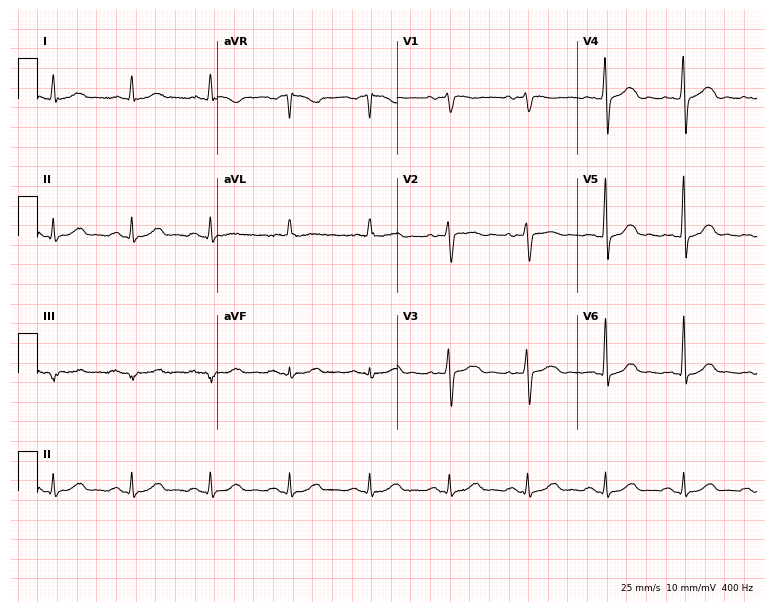
Electrocardiogram, a 51-year-old male patient. Of the six screened findings (first-degree AV block, right bundle branch block, left bundle branch block, sinus bradycardia, atrial fibrillation, sinus tachycardia), none is recorded. Other findings, if any, are not listed.